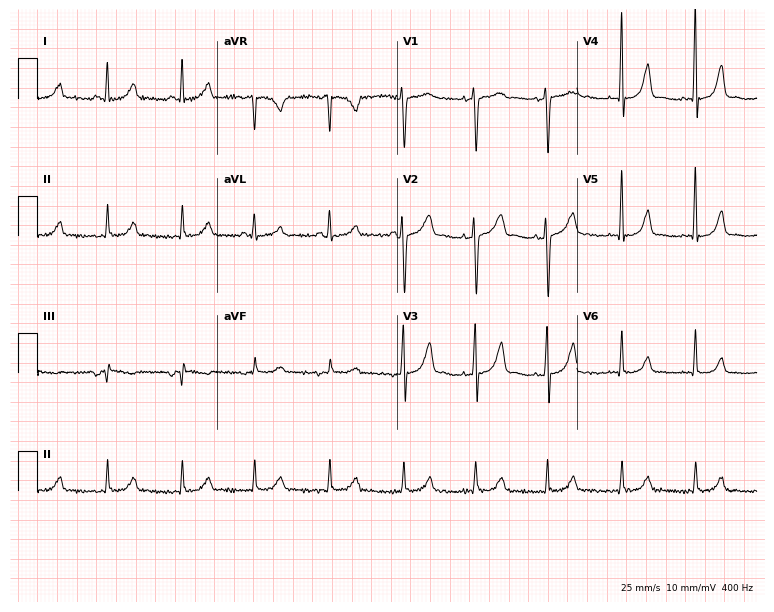
12-lead ECG from a woman, 46 years old (7.3-second recording at 400 Hz). Recorded interpretation: within normal limits.